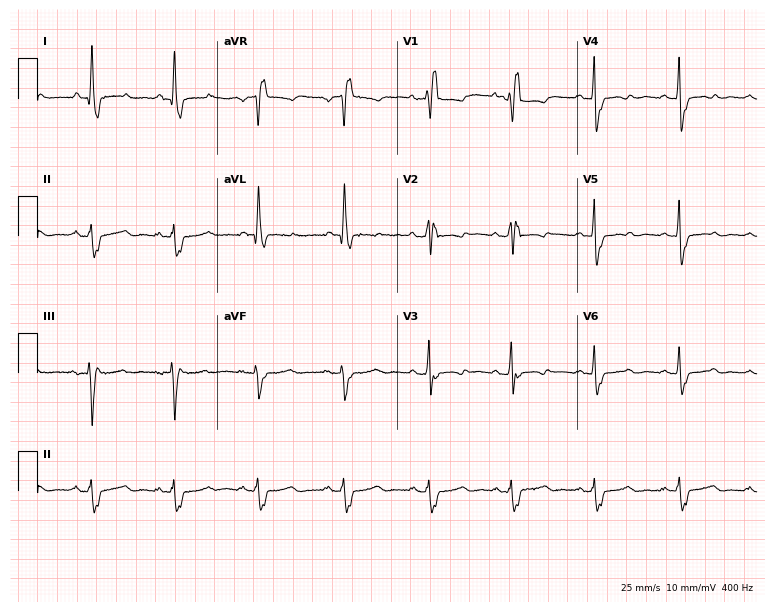
Resting 12-lead electrocardiogram (7.3-second recording at 400 Hz). Patient: a 63-year-old woman. The tracing shows right bundle branch block.